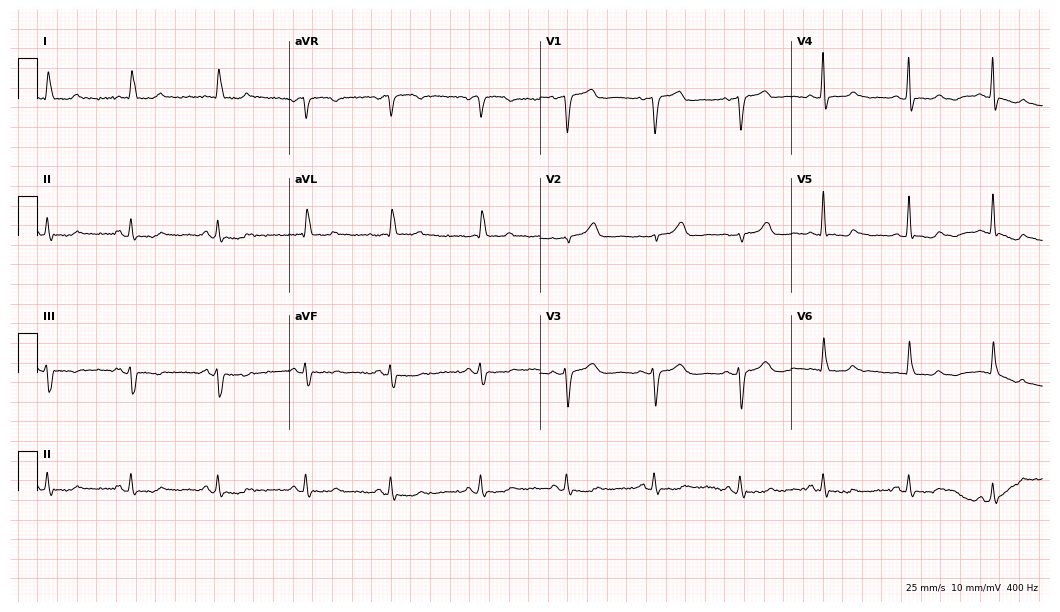
Electrocardiogram, a woman, 87 years old. Overall reading on record: normal ECG.